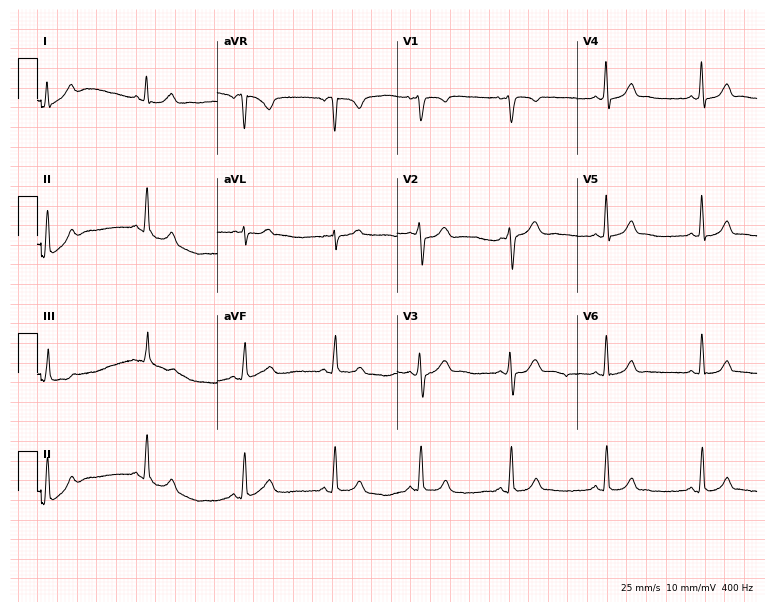
Electrocardiogram, a female, 37 years old. Overall reading on record: normal ECG.